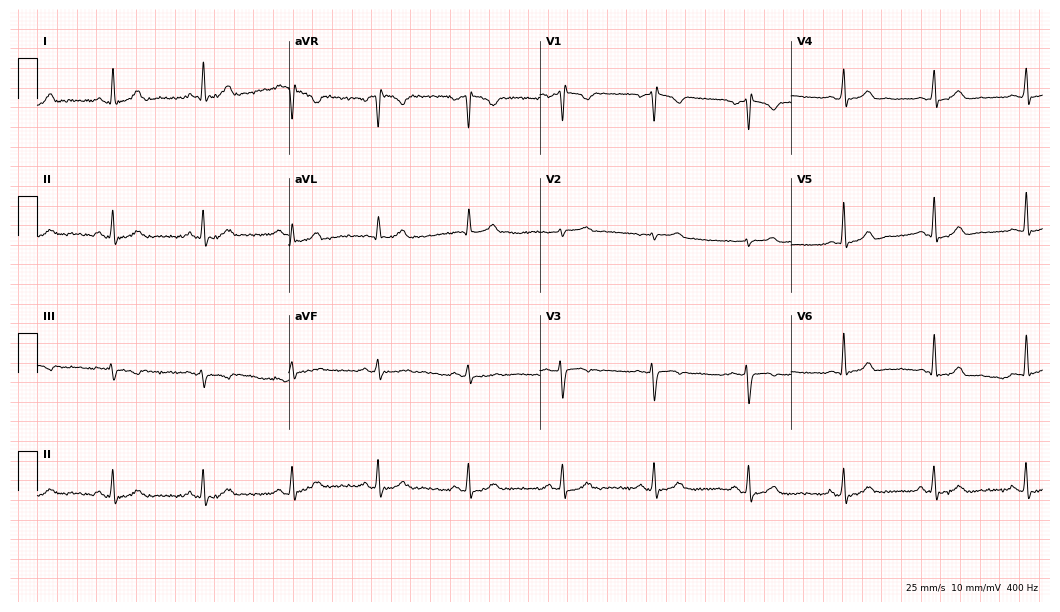
Standard 12-lead ECG recorded from a 43-year-old female. None of these six findings is recorded: first-degree AV block, right bundle branch block, left bundle branch block, sinus bradycardia, atrial fibrillation, sinus tachycardia. Only these six findings were labelled.